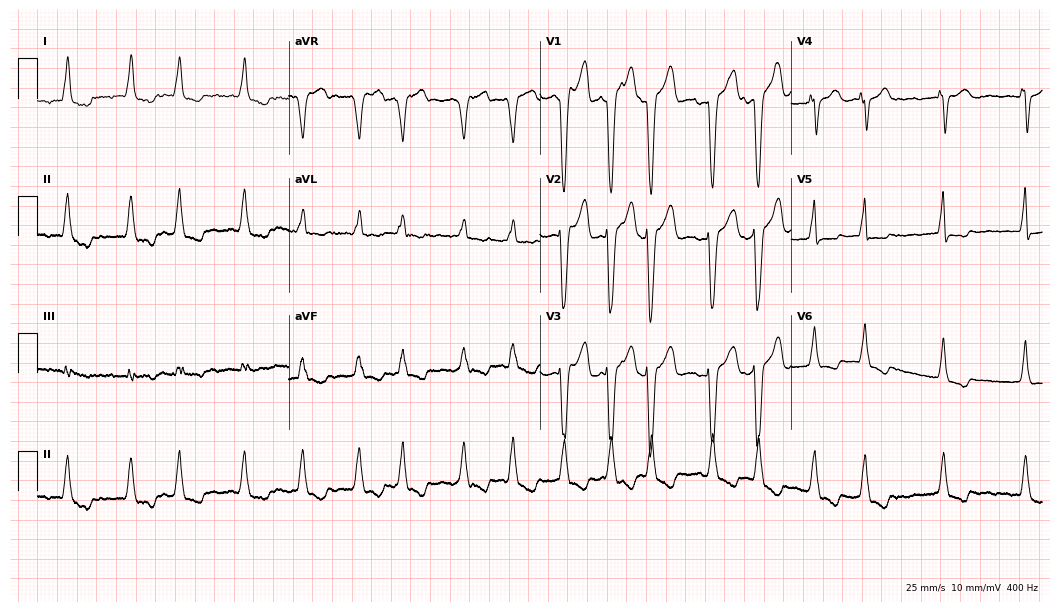
12-lead ECG (10.2-second recording at 400 Hz) from a 72-year-old female patient. Findings include left bundle branch block, atrial fibrillation.